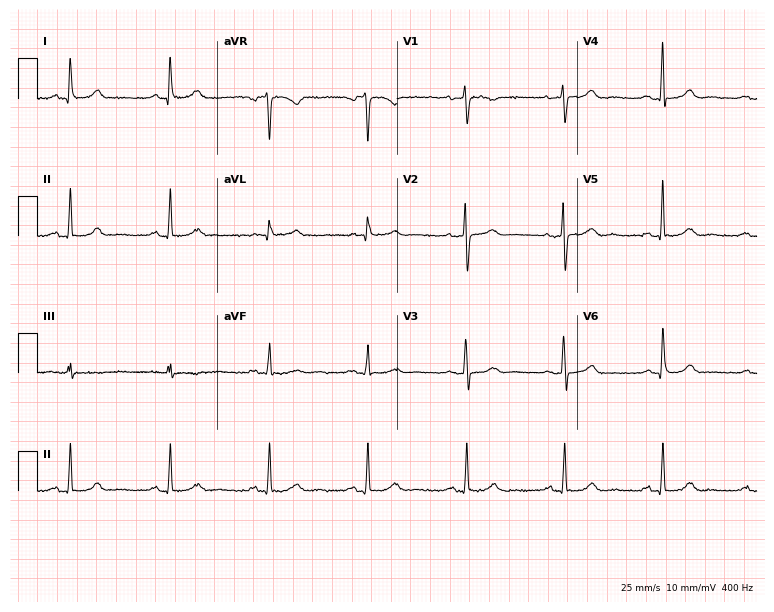
Standard 12-lead ECG recorded from a 61-year-old female. Read as a normal ECG.